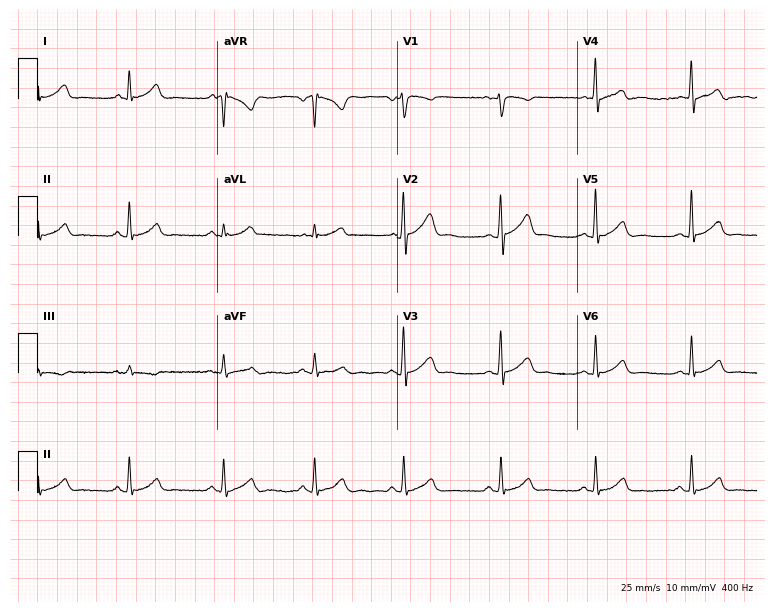
12-lead ECG from a 31-year-old man (7.3-second recording at 400 Hz). Recorded interpretation: within normal limits.